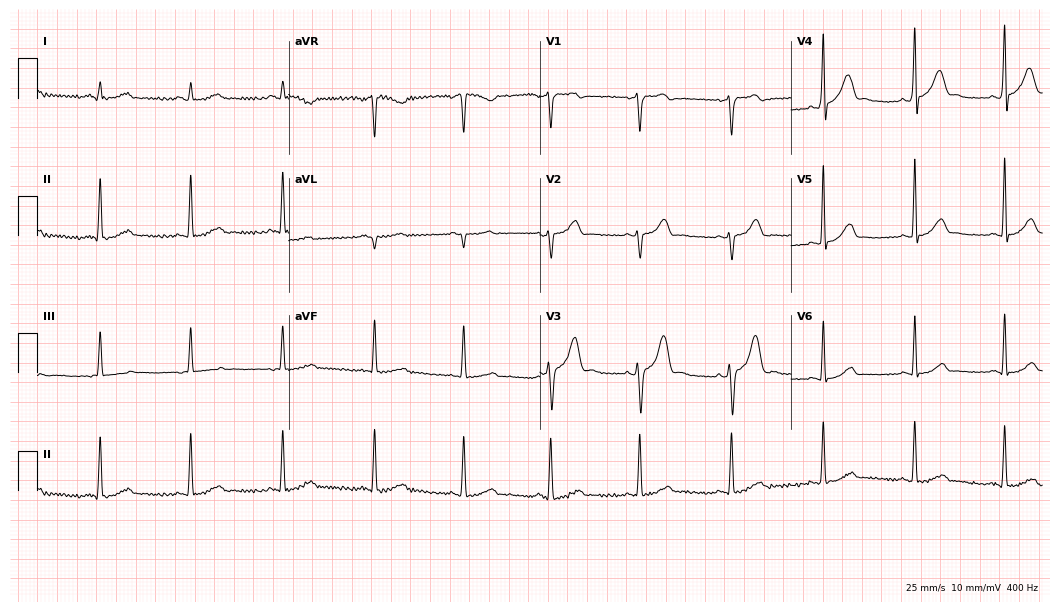
Electrocardiogram, a male patient, 53 years old. Overall reading on record: normal ECG.